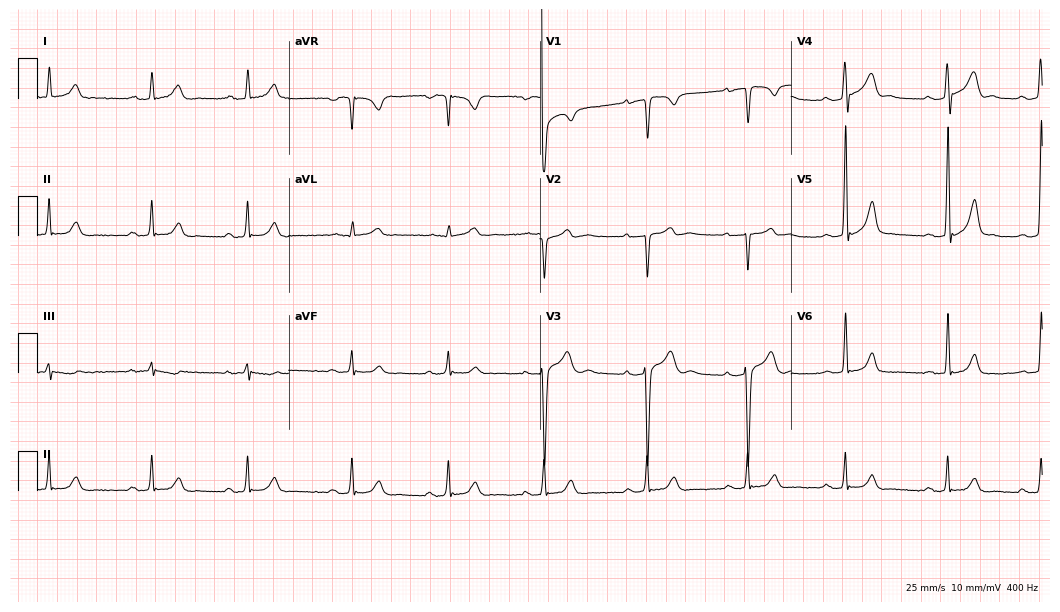
12-lead ECG (10.2-second recording at 400 Hz) from a male, 27 years old. Screened for six findings — first-degree AV block, right bundle branch block (RBBB), left bundle branch block (LBBB), sinus bradycardia, atrial fibrillation (AF), sinus tachycardia — none is recorded. Findings outside these six are not listed.